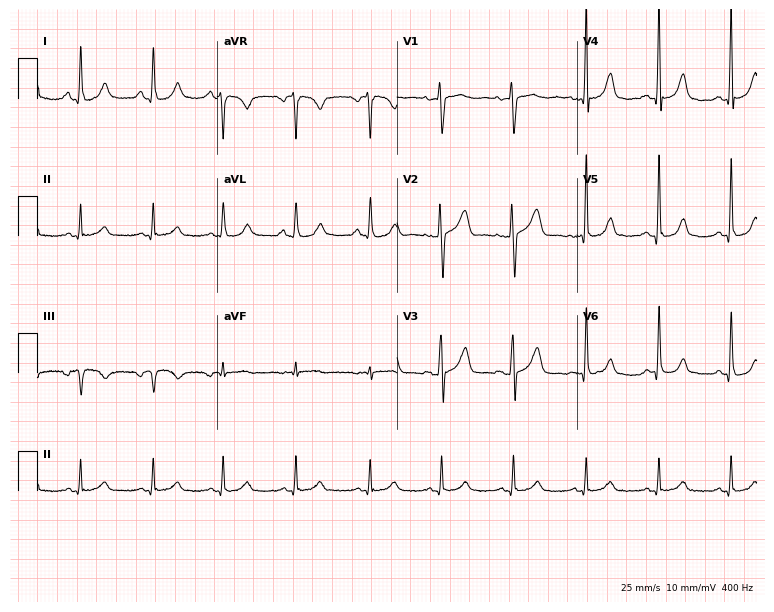
ECG — a male, 66 years old. Labelled as a normal ECG.